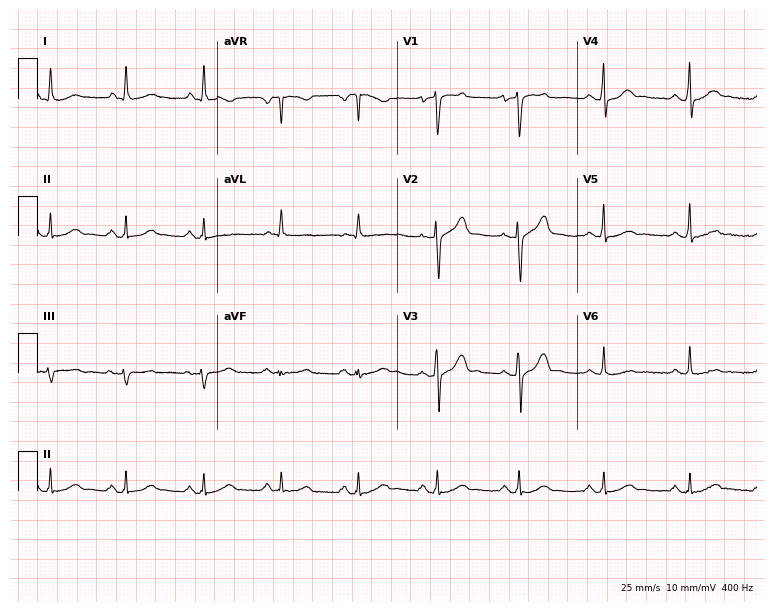
Resting 12-lead electrocardiogram (7.3-second recording at 400 Hz). Patient: a male, 53 years old. None of these six findings is recorded: first-degree AV block, right bundle branch block (RBBB), left bundle branch block (LBBB), sinus bradycardia, atrial fibrillation (AF), sinus tachycardia.